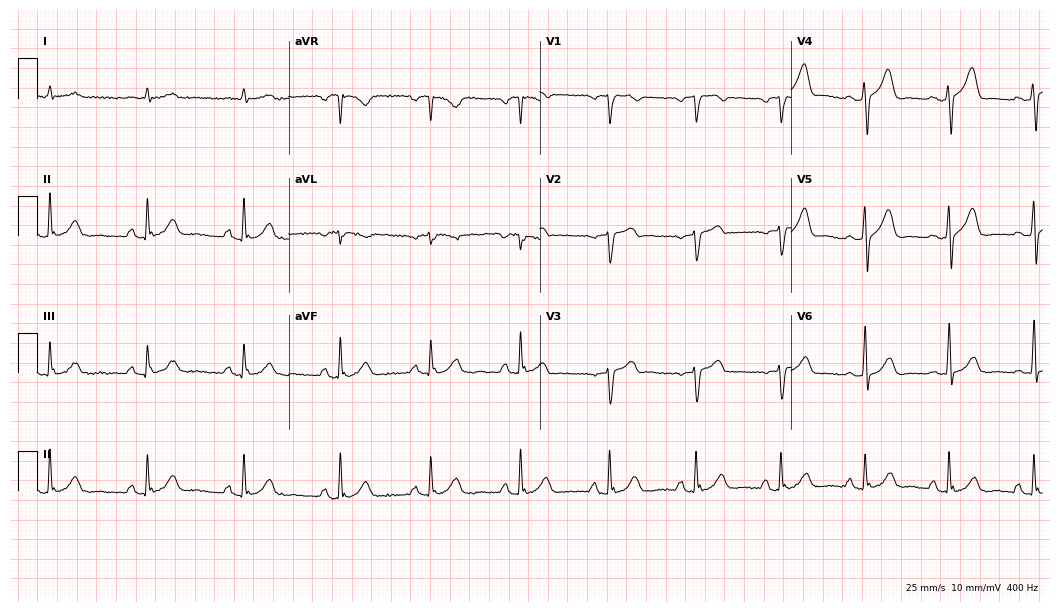
12-lead ECG (10.2-second recording at 400 Hz) from a male, 62 years old. Screened for six findings — first-degree AV block, right bundle branch block (RBBB), left bundle branch block (LBBB), sinus bradycardia, atrial fibrillation (AF), sinus tachycardia — none is recorded. Only these six findings were labelled.